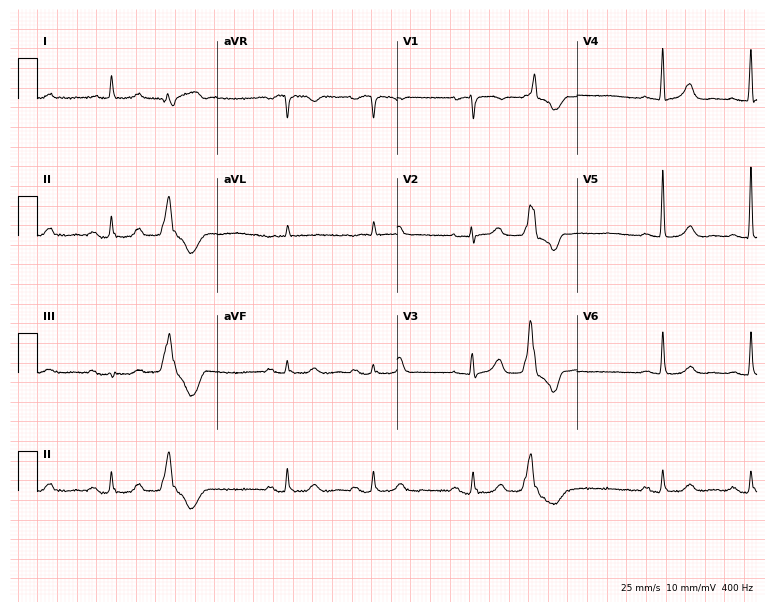
Resting 12-lead electrocardiogram. Patient: an 83-year-old female. None of these six findings is recorded: first-degree AV block, right bundle branch block, left bundle branch block, sinus bradycardia, atrial fibrillation, sinus tachycardia. Other findings, if any, are not listed.